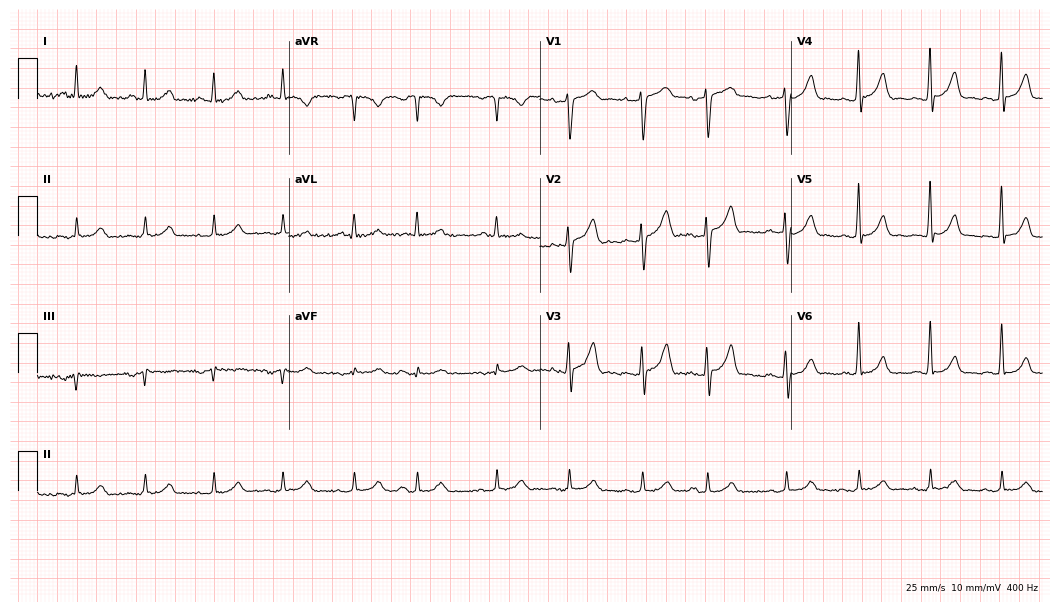
Standard 12-lead ECG recorded from a male, 81 years old. Read as a normal ECG.